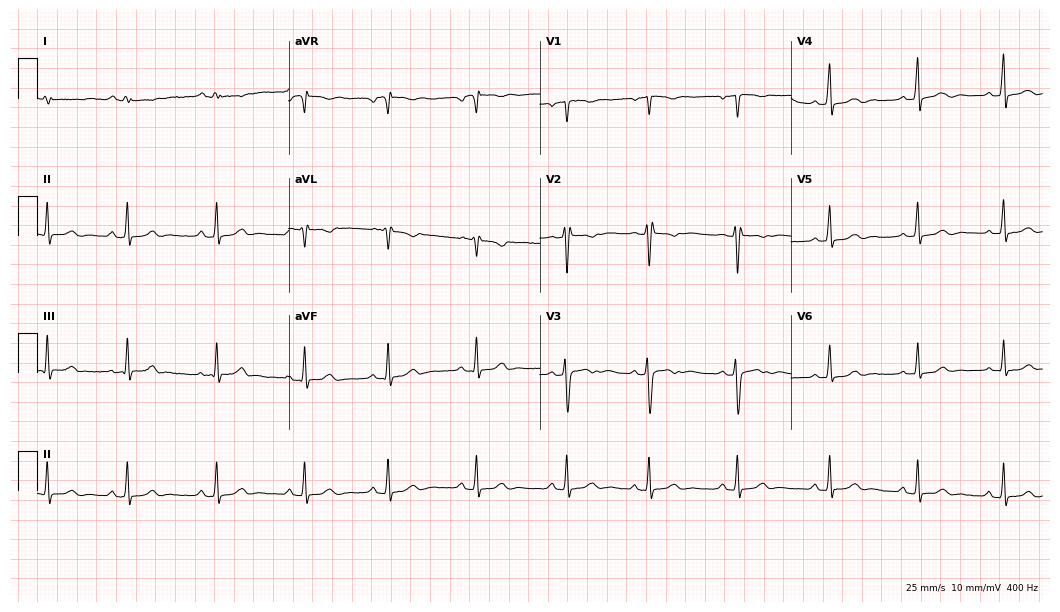
ECG (10.2-second recording at 400 Hz) — a 20-year-old female patient. Labelled as a normal ECG.